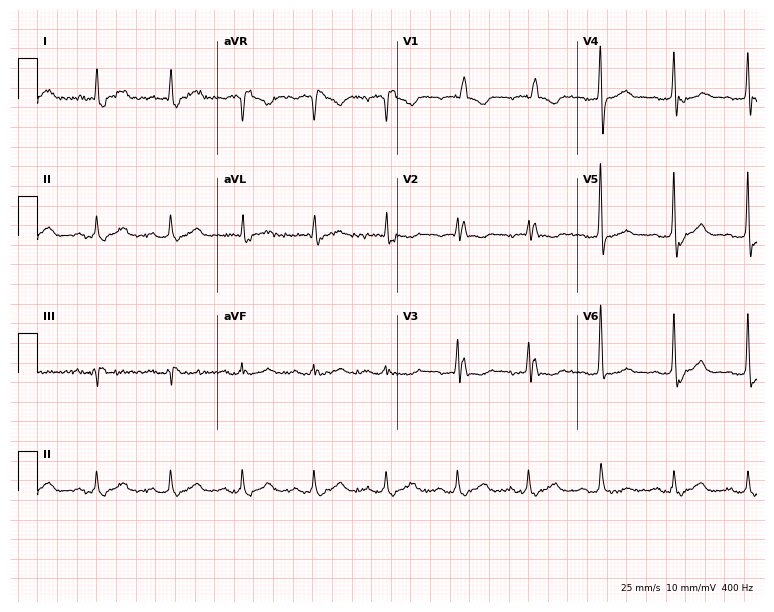
Resting 12-lead electrocardiogram. Patient: a 71-year-old man. The tracing shows right bundle branch block.